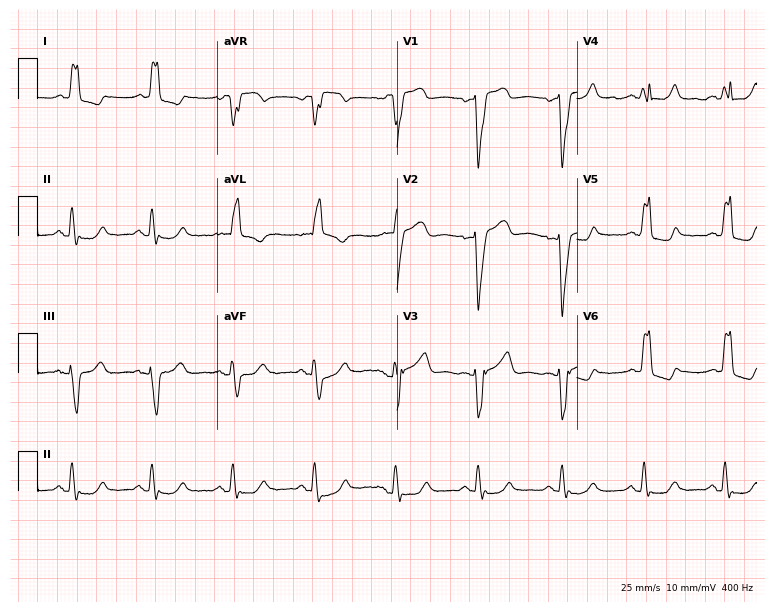
ECG — a woman, 73 years old. Findings include left bundle branch block (LBBB).